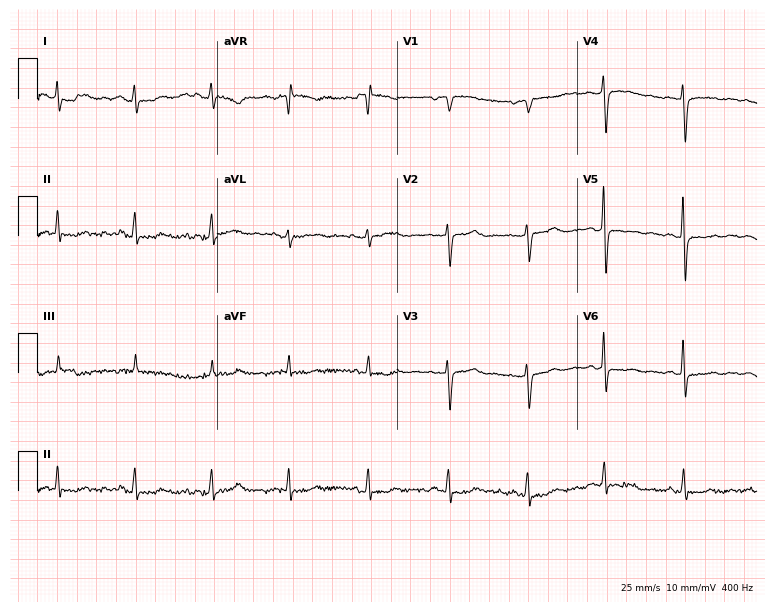
Resting 12-lead electrocardiogram (7.3-second recording at 400 Hz). Patient: a female, 73 years old. None of these six findings is recorded: first-degree AV block, right bundle branch block, left bundle branch block, sinus bradycardia, atrial fibrillation, sinus tachycardia.